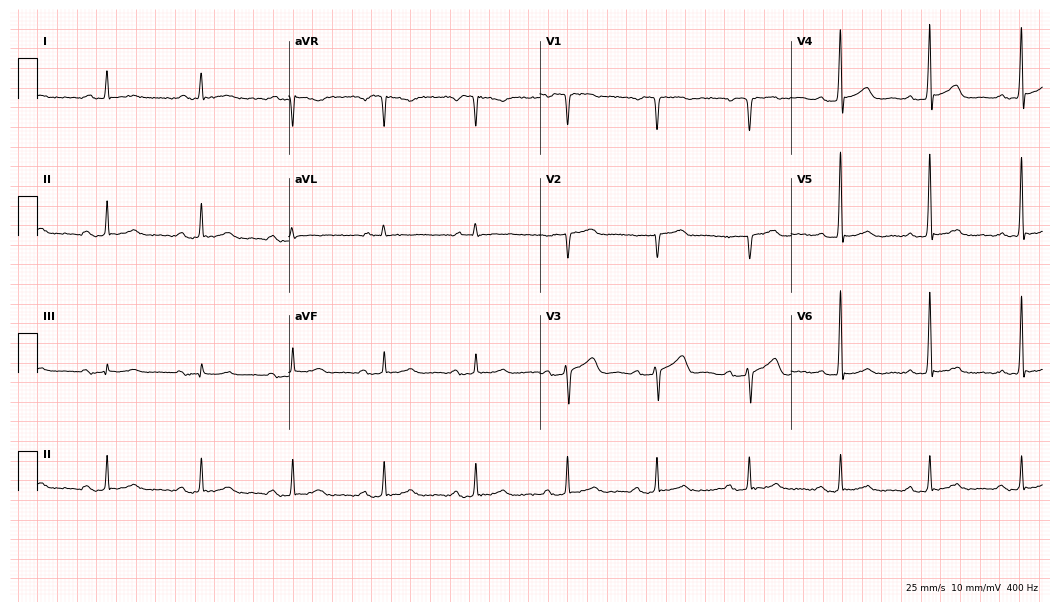
12-lead ECG (10.2-second recording at 400 Hz) from a male patient, 67 years old. Findings include first-degree AV block.